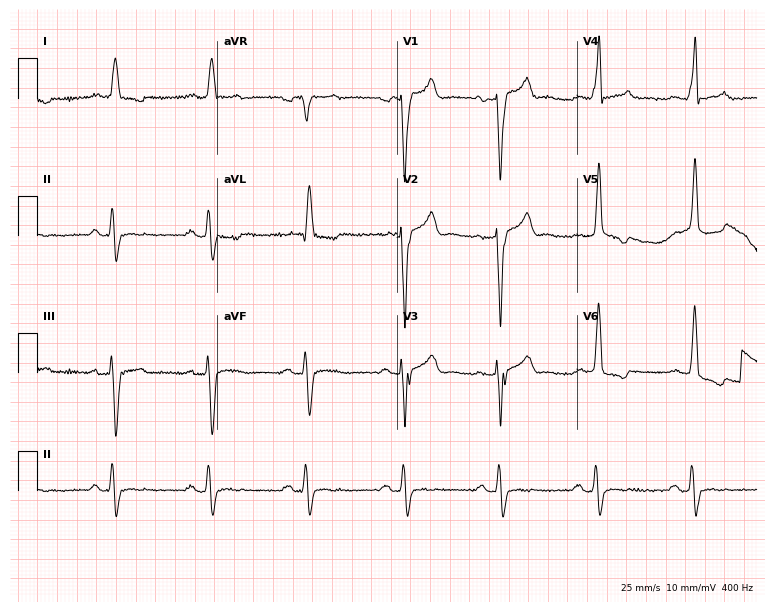
12-lead ECG from a 66-year-old male. Findings include left bundle branch block.